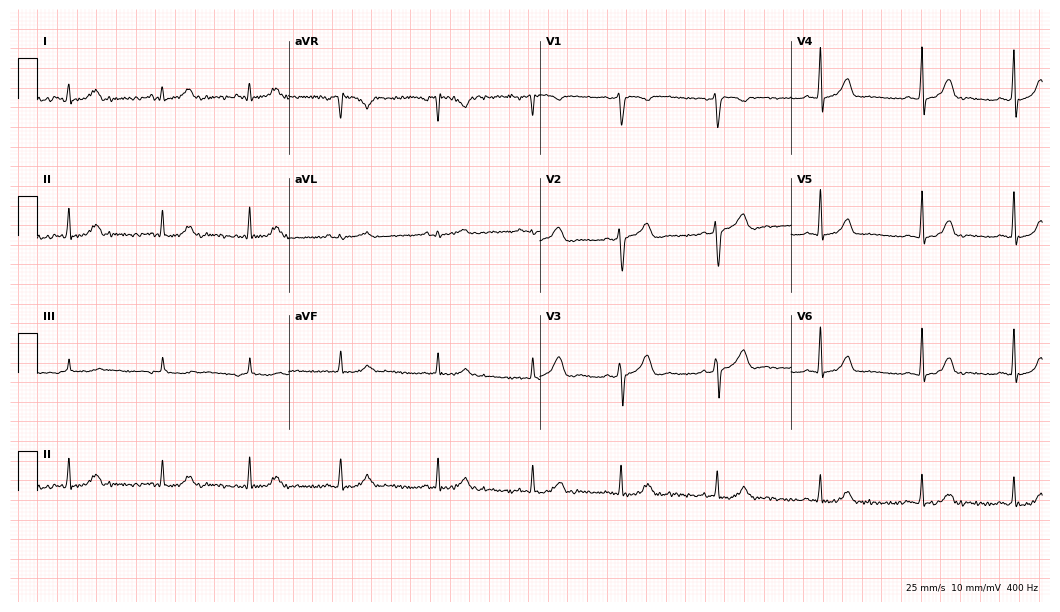
12-lead ECG (10.2-second recording at 400 Hz) from a woman, 30 years old. Labelled as a normal ECG.